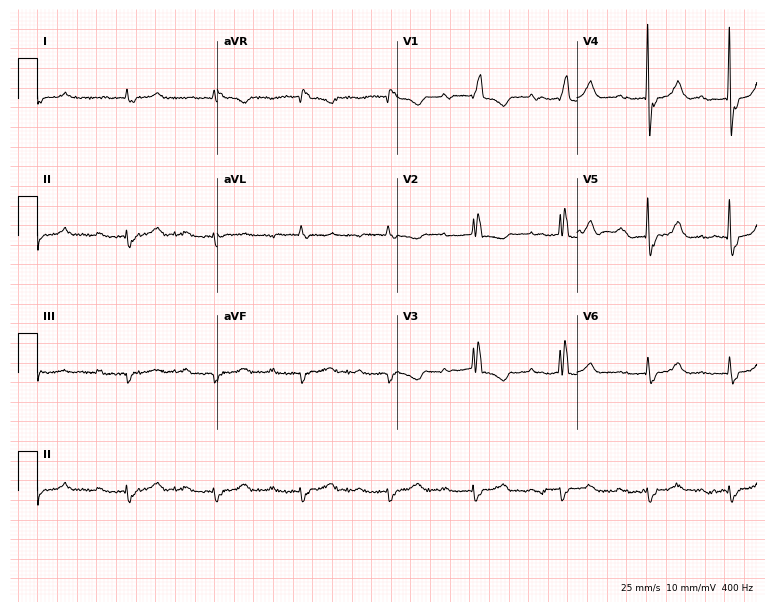
12-lead ECG (7.3-second recording at 400 Hz) from an 84-year-old woman. Findings include first-degree AV block, right bundle branch block.